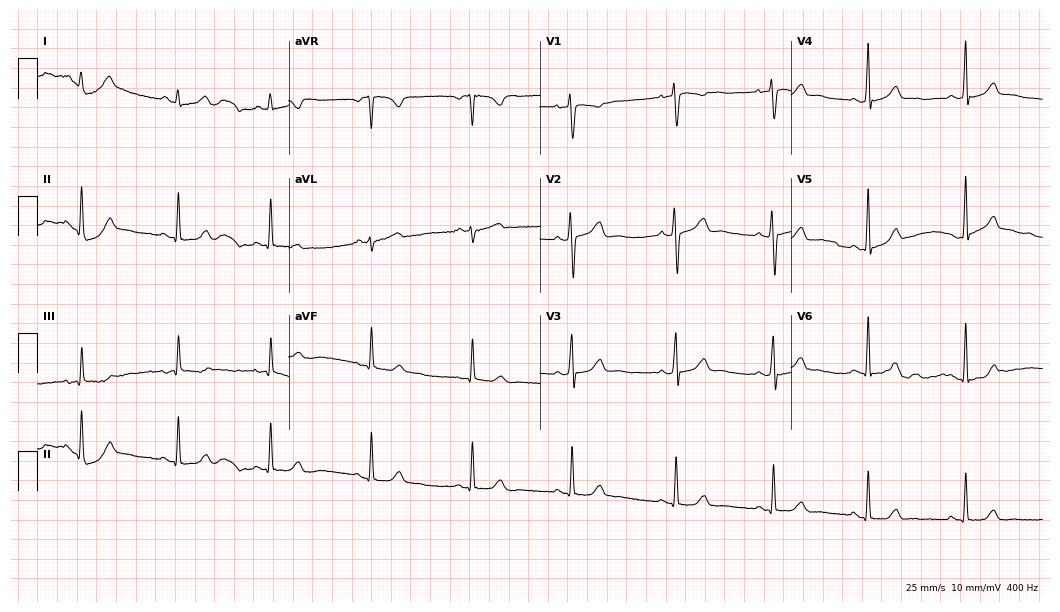
ECG (10.2-second recording at 400 Hz) — a 34-year-old female patient. Screened for six findings — first-degree AV block, right bundle branch block (RBBB), left bundle branch block (LBBB), sinus bradycardia, atrial fibrillation (AF), sinus tachycardia — none is recorded.